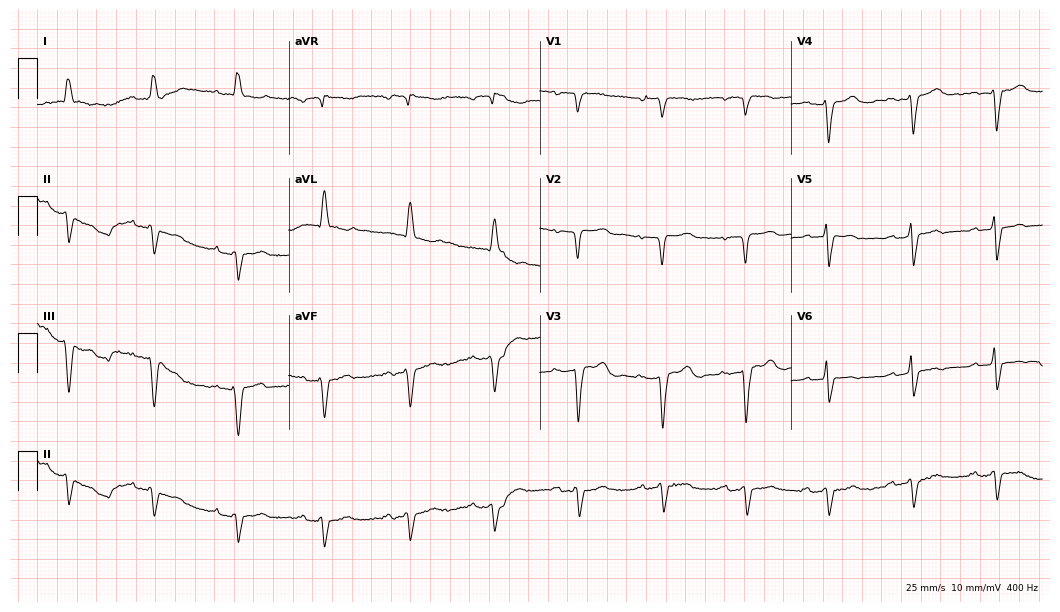
12-lead ECG from an 85-year-old woman. Findings include first-degree AV block.